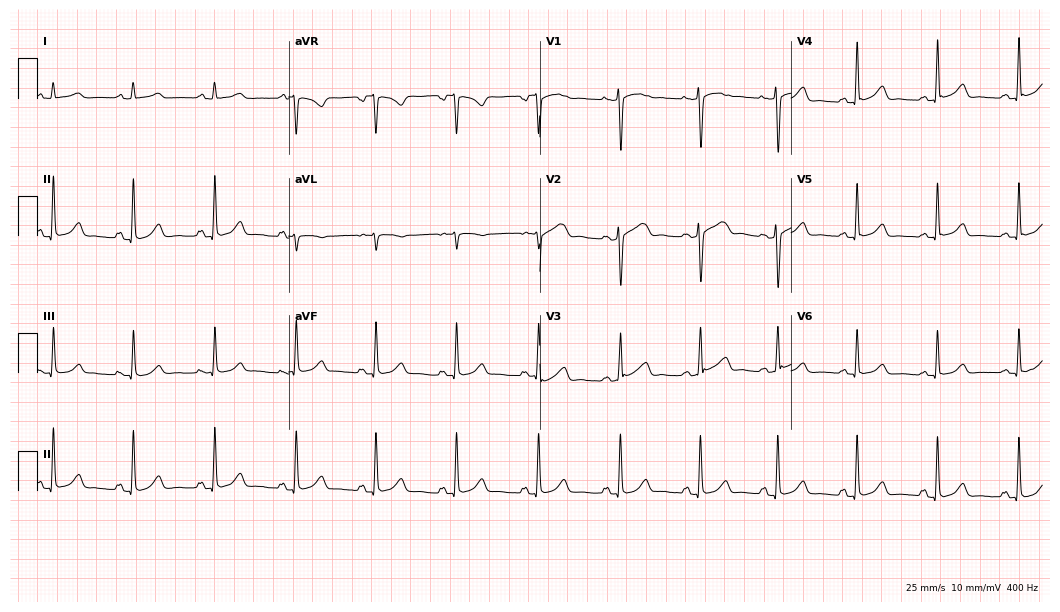
Standard 12-lead ECG recorded from a female patient, 30 years old (10.2-second recording at 400 Hz). Read as a normal ECG.